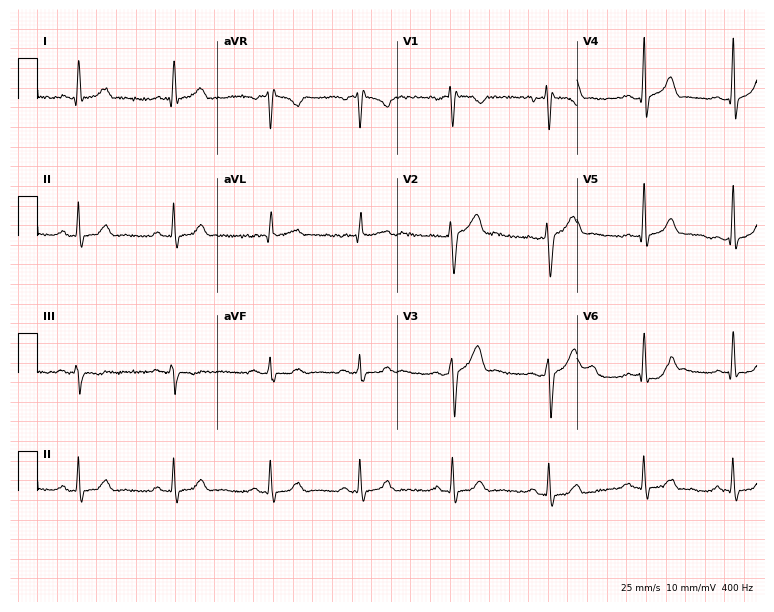
Electrocardiogram, a man, 33 years old. Overall reading on record: normal ECG.